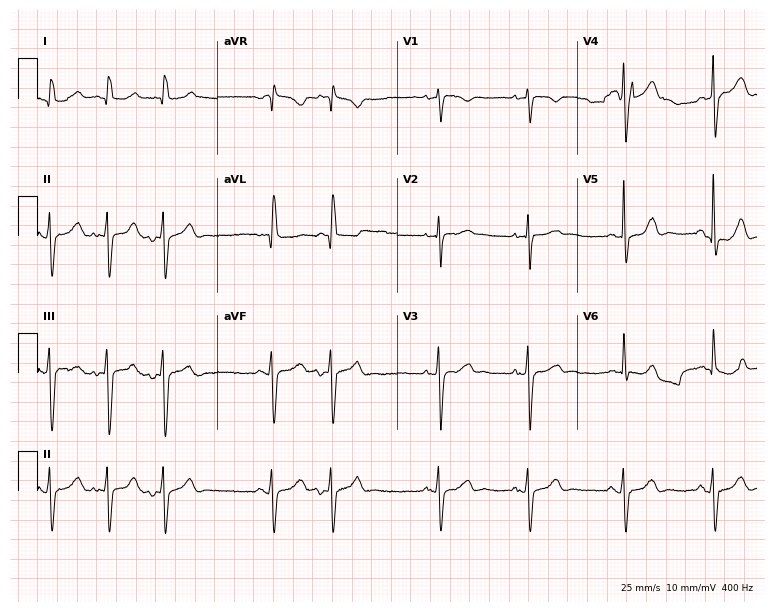
Electrocardiogram (7.3-second recording at 400 Hz), a 72-year-old female patient. Of the six screened findings (first-degree AV block, right bundle branch block, left bundle branch block, sinus bradycardia, atrial fibrillation, sinus tachycardia), none is recorded.